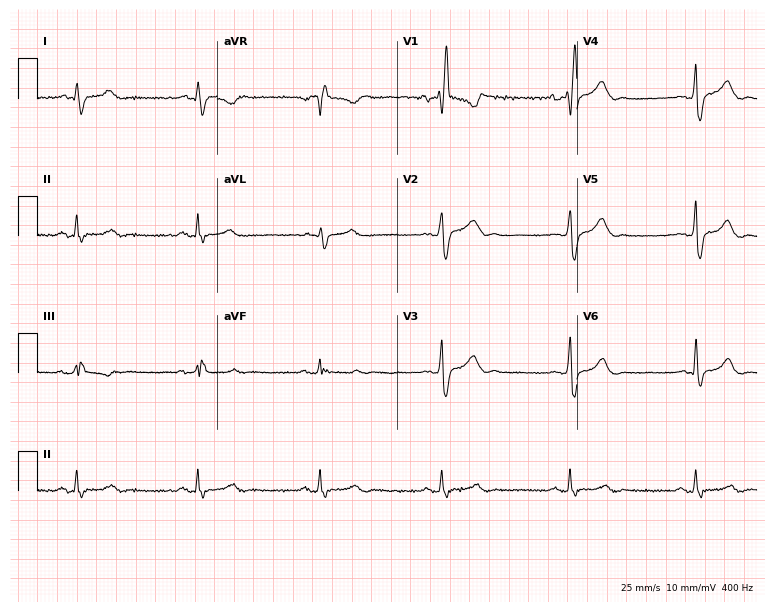
12-lead ECG from a man, 27 years old. Shows right bundle branch block, sinus bradycardia (a sinus rate of 50 beats per minute or less).